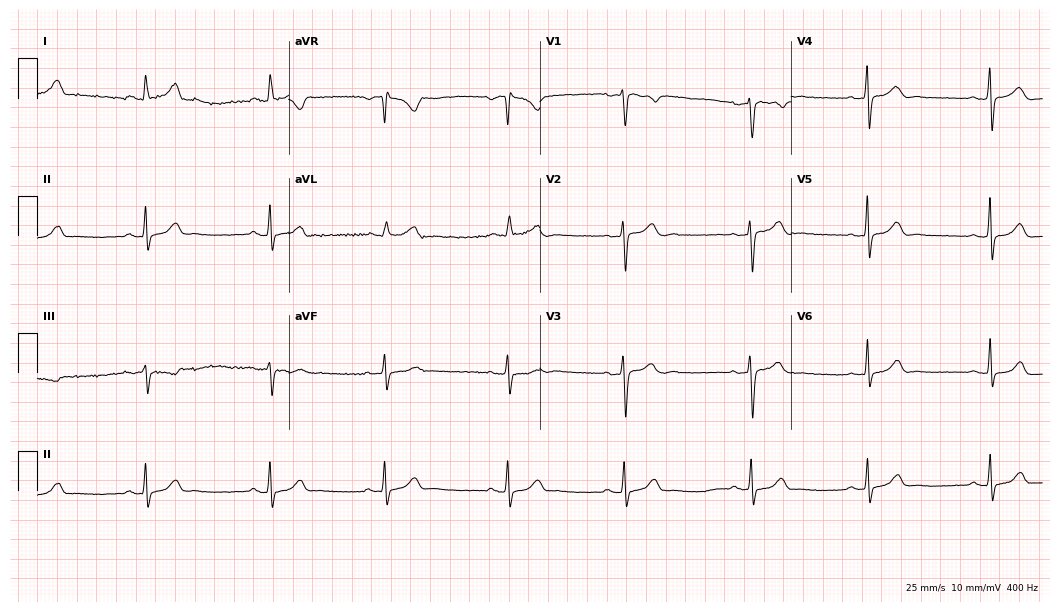
12-lead ECG (10.2-second recording at 400 Hz) from a 37-year-old woman. Screened for six findings — first-degree AV block, right bundle branch block, left bundle branch block, sinus bradycardia, atrial fibrillation, sinus tachycardia — none is recorded.